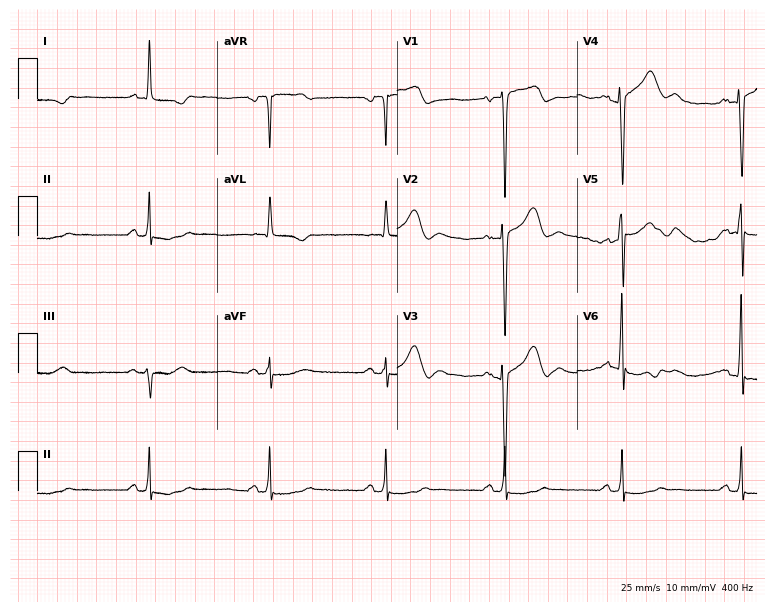
12-lead ECG from an 83-year-old male. Findings include sinus bradycardia (a sinus rate of 50 beats per minute or less).